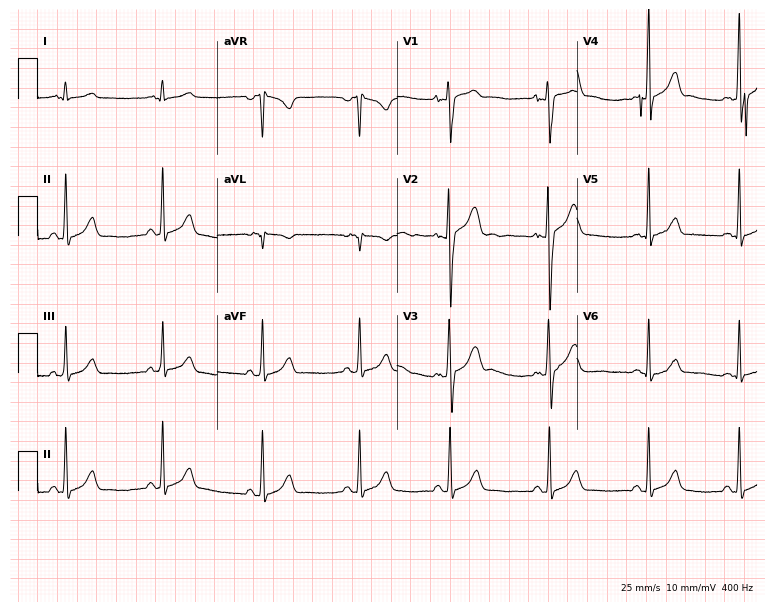
Electrocardiogram (7.3-second recording at 400 Hz), a male patient, 17 years old. Overall reading on record: normal ECG.